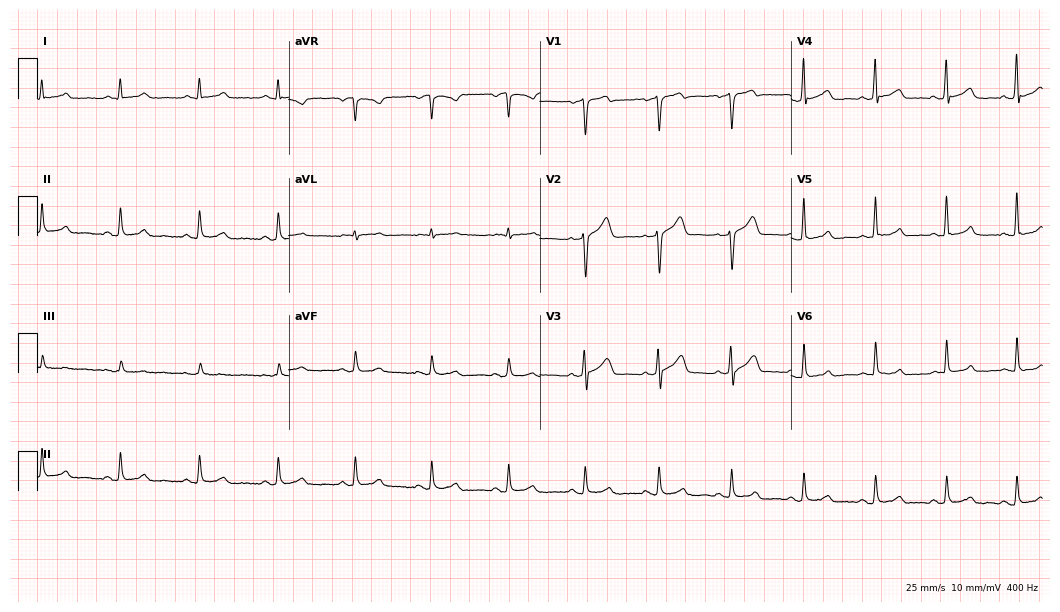
Electrocardiogram (10.2-second recording at 400 Hz), a male patient, 42 years old. Of the six screened findings (first-degree AV block, right bundle branch block (RBBB), left bundle branch block (LBBB), sinus bradycardia, atrial fibrillation (AF), sinus tachycardia), none is recorded. Only these six findings were labelled.